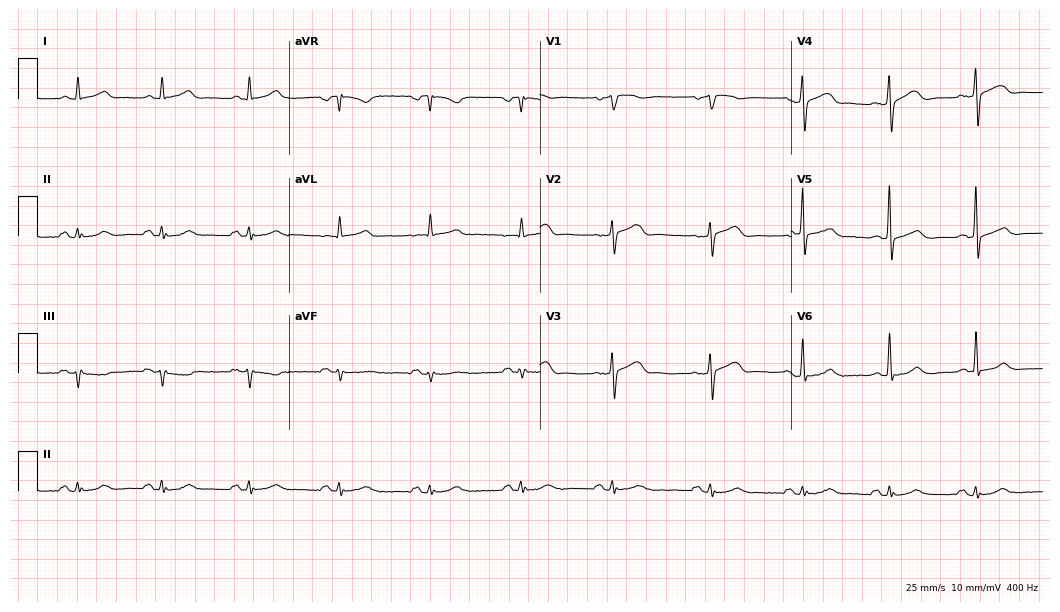
12-lead ECG from a female, 68 years old. Recorded interpretation: within normal limits.